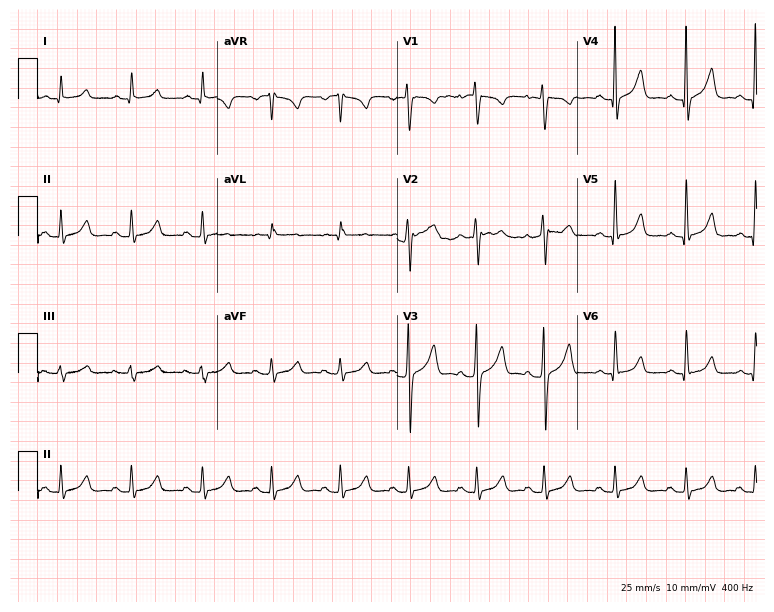
12-lead ECG from a man, 37 years old. Labelled as a normal ECG.